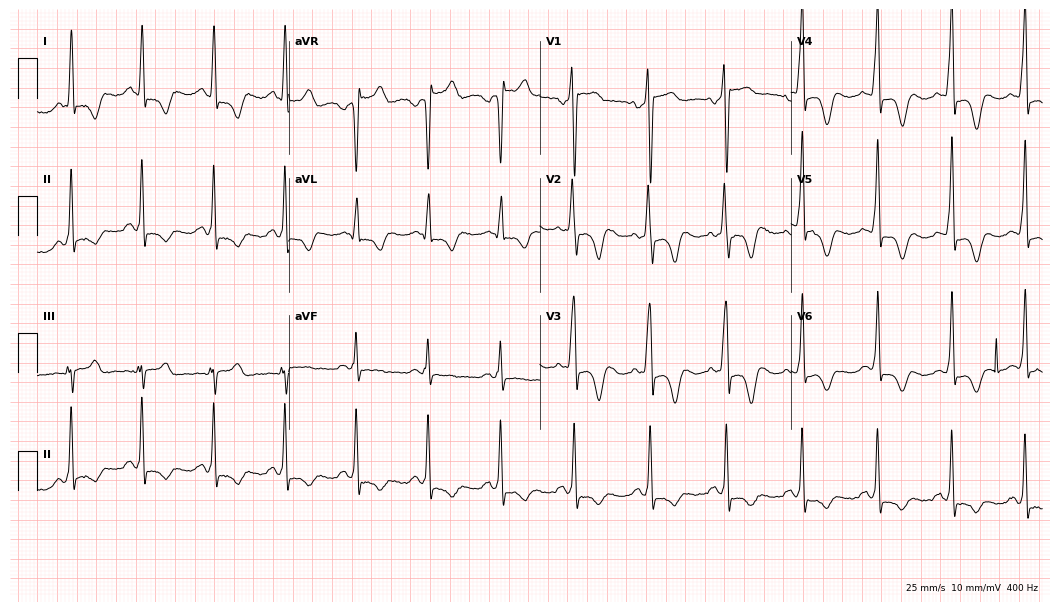
12-lead ECG from a 32-year-old male patient. Screened for six findings — first-degree AV block, right bundle branch block, left bundle branch block, sinus bradycardia, atrial fibrillation, sinus tachycardia — none is recorded.